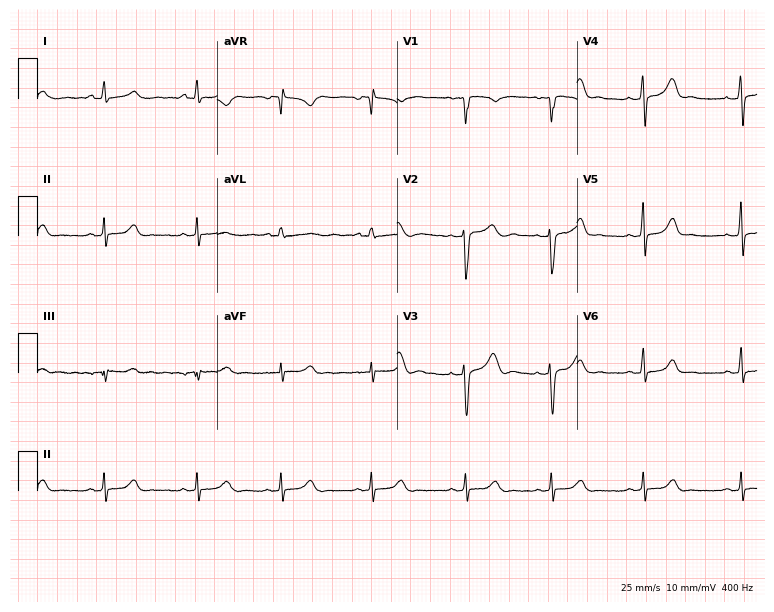
Electrocardiogram, an 18-year-old woman. Overall reading on record: normal ECG.